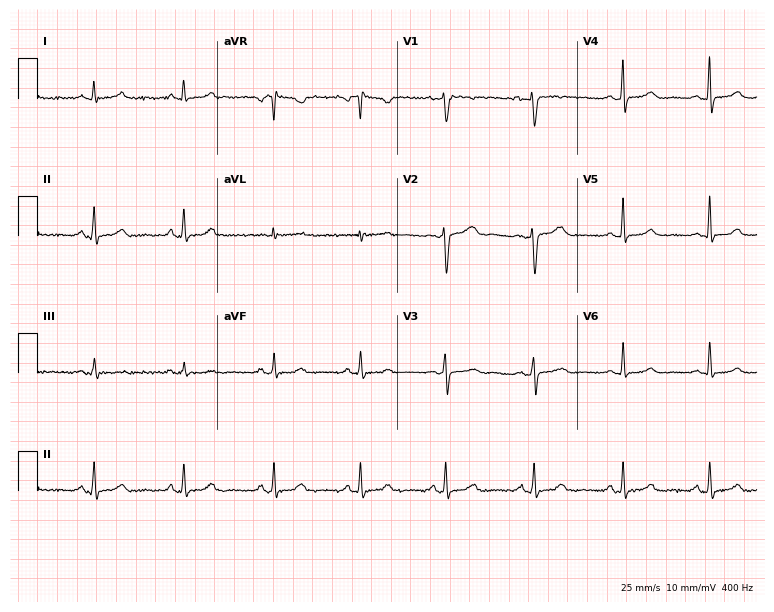
Resting 12-lead electrocardiogram. Patient: a woman, 48 years old. Read as a normal ECG.